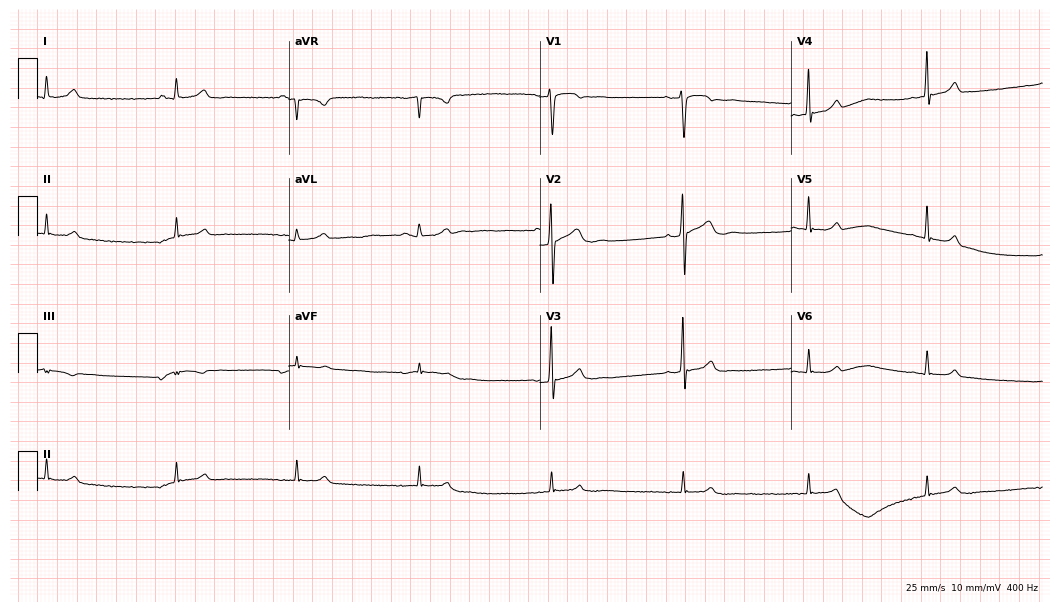
ECG — a male, 46 years old. Findings include sinus bradycardia (a sinus rate of 50 beats per minute or less).